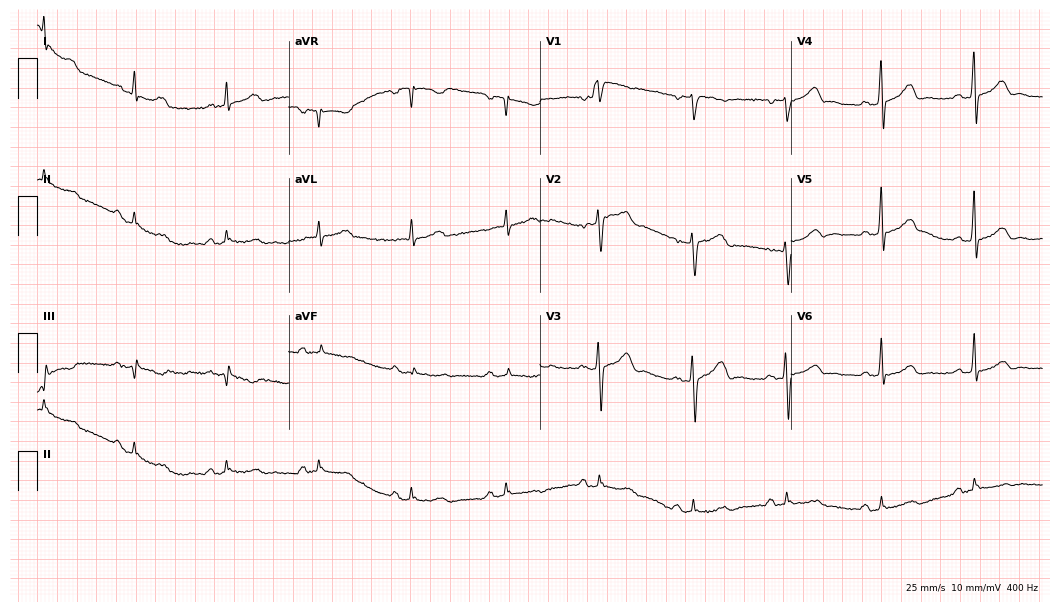
Resting 12-lead electrocardiogram (10.2-second recording at 400 Hz). Patient: a male, 57 years old. None of these six findings is recorded: first-degree AV block, right bundle branch block, left bundle branch block, sinus bradycardia, atrial fibrillation, sinus tachycardia. Findings outside these six are not listed.